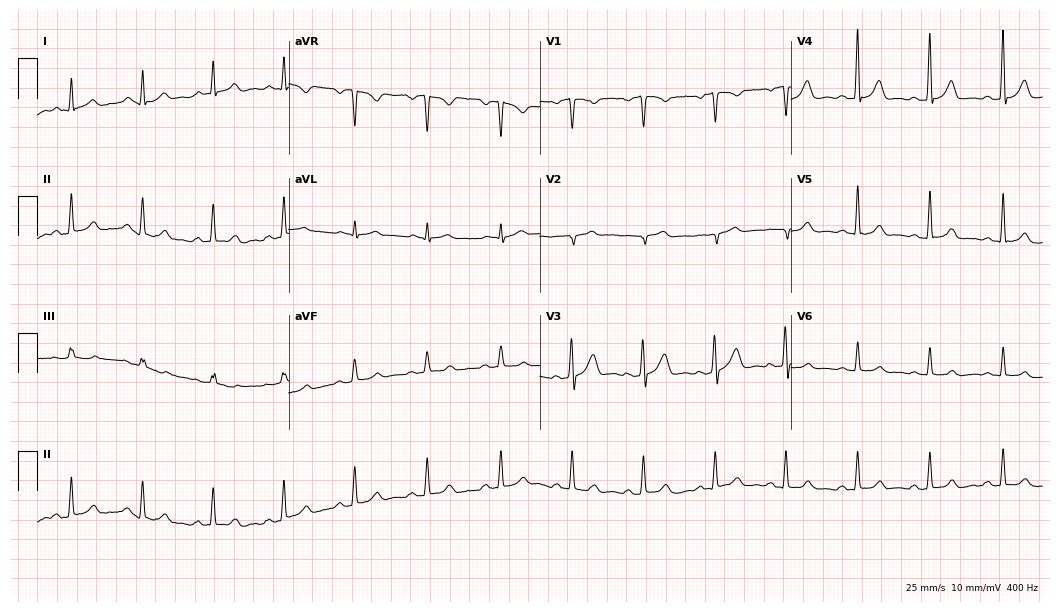
12-lead ECG from a male patient, 44 years old. Labelled as a normal ECG.